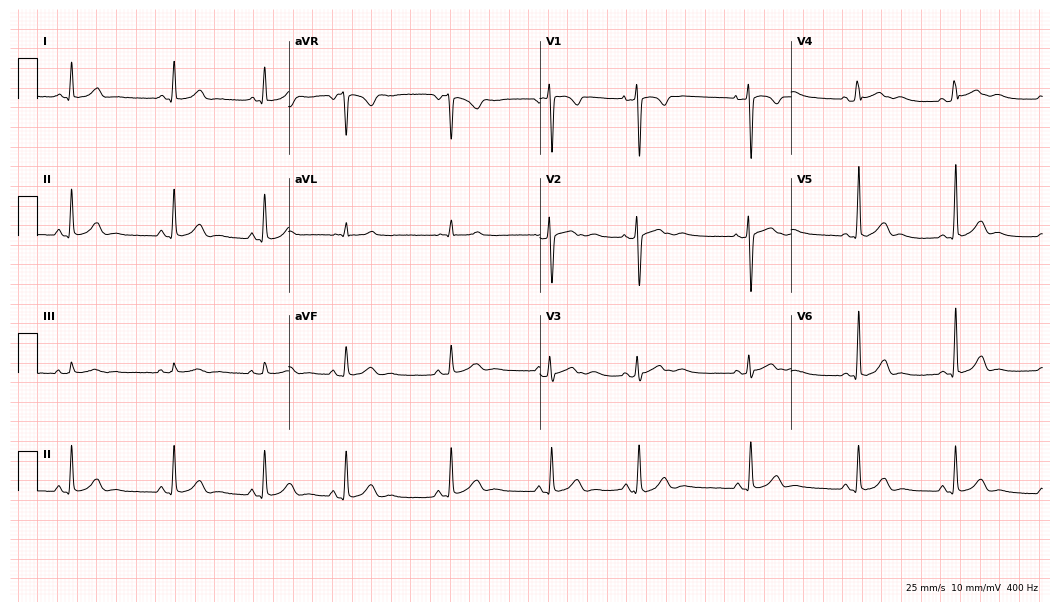
12-lead ECG from a 33-year-old female (10.2-second recording at 400 Hz). Recorded interpretation: within normal limits.